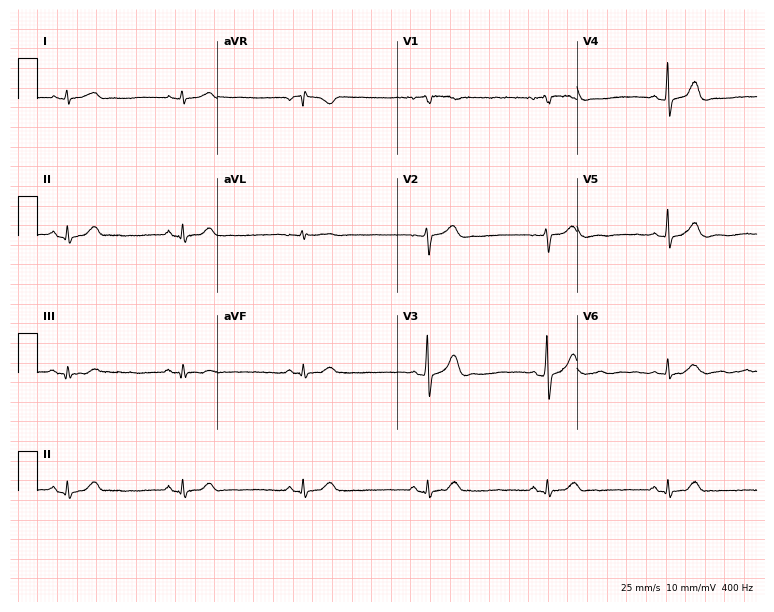
Standard 12-lead ECG recorded from a 64-year-old woman. The tracing shows sinus bradycardia (a sinus rate of 50 beats per minute or less).